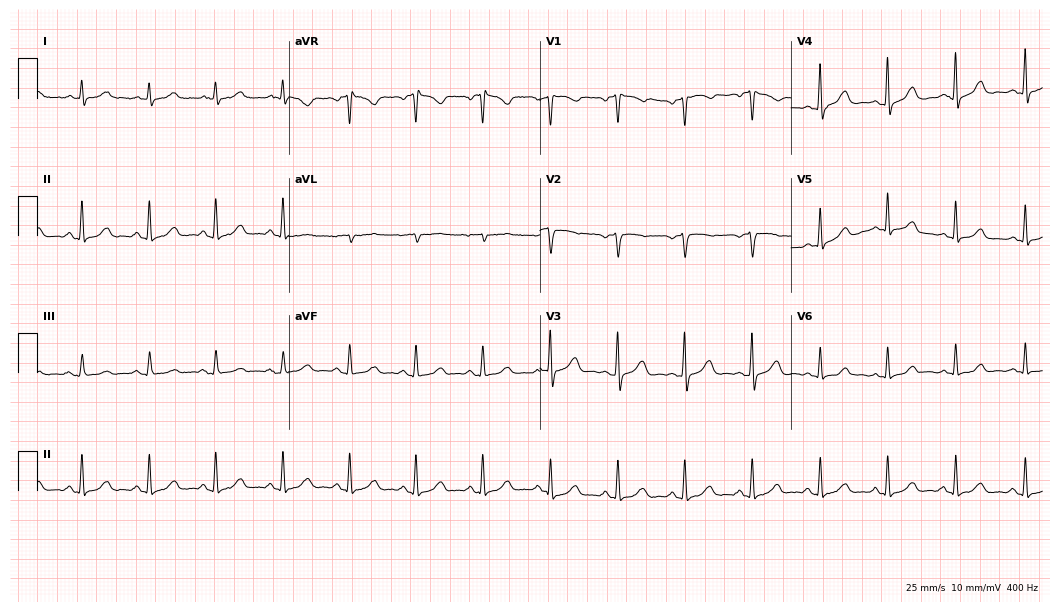
12-lead ECG from a 69-year-old female patient. Recorded interpretation: within normal limits.